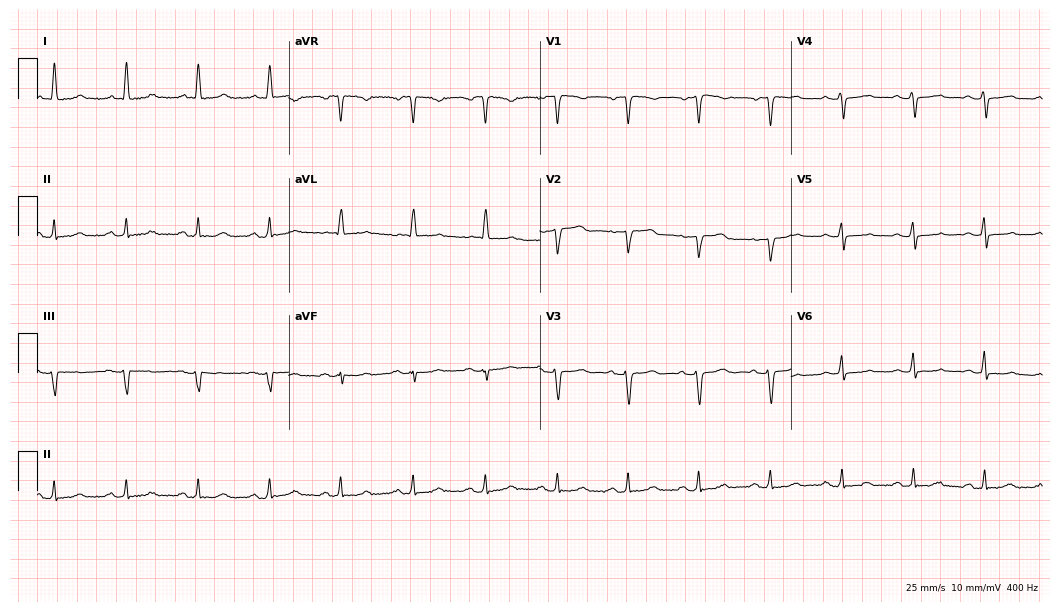
12-lead ECG from a man, 54 years old (10.2-second recording at 400 Hz). Recorded interpretation: within normal limits.